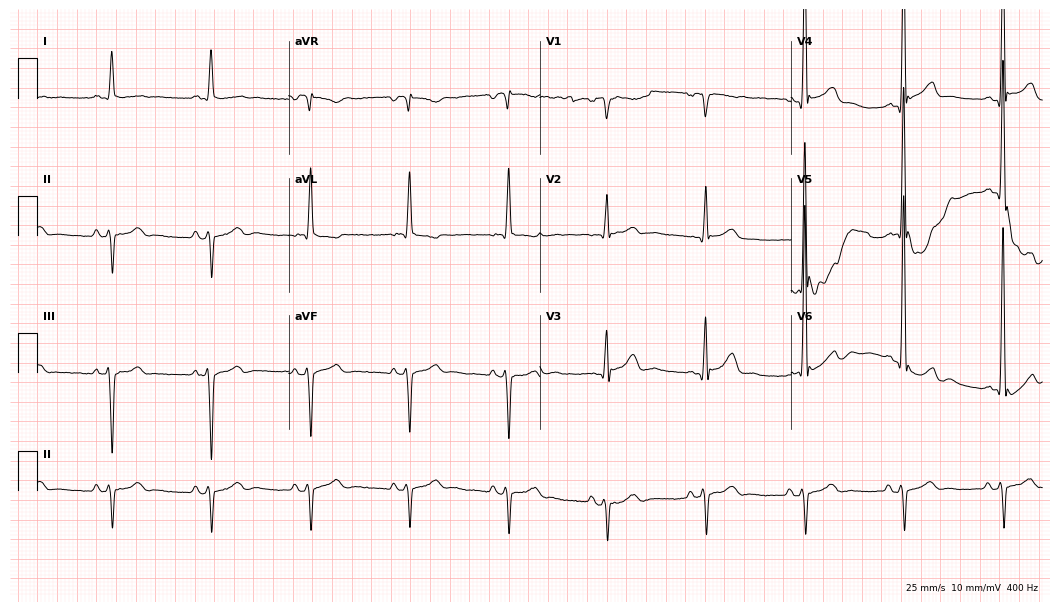
12-lead ECG from an 80-year-old man (10.2-second recording at 400 Hz). No first-degree AV block, right bundle branch block, left bundle branch block, sinus bradycardia, atrial fibrillation or sinus tachycardia recorded for this tracing. Other findings, if any, are not listed.